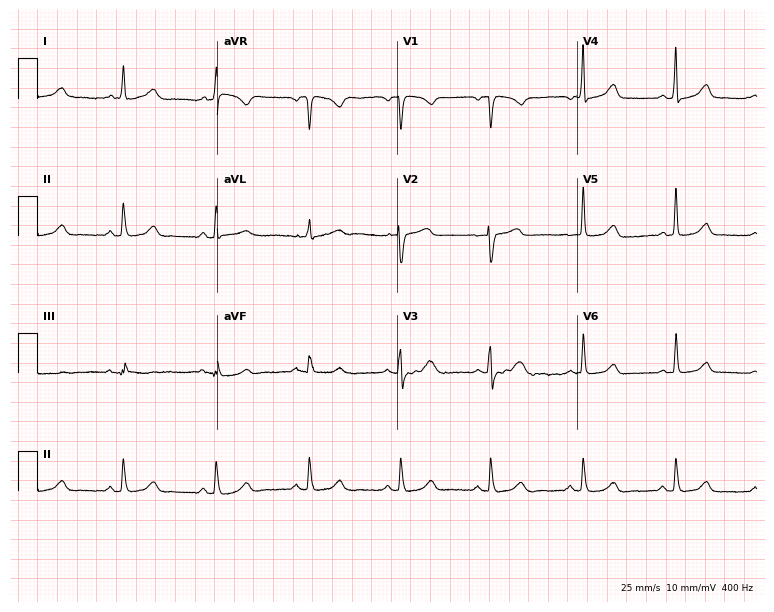
Standard 12-lead ECG recorded from a female, 66 years old. Read as a normal ECG.